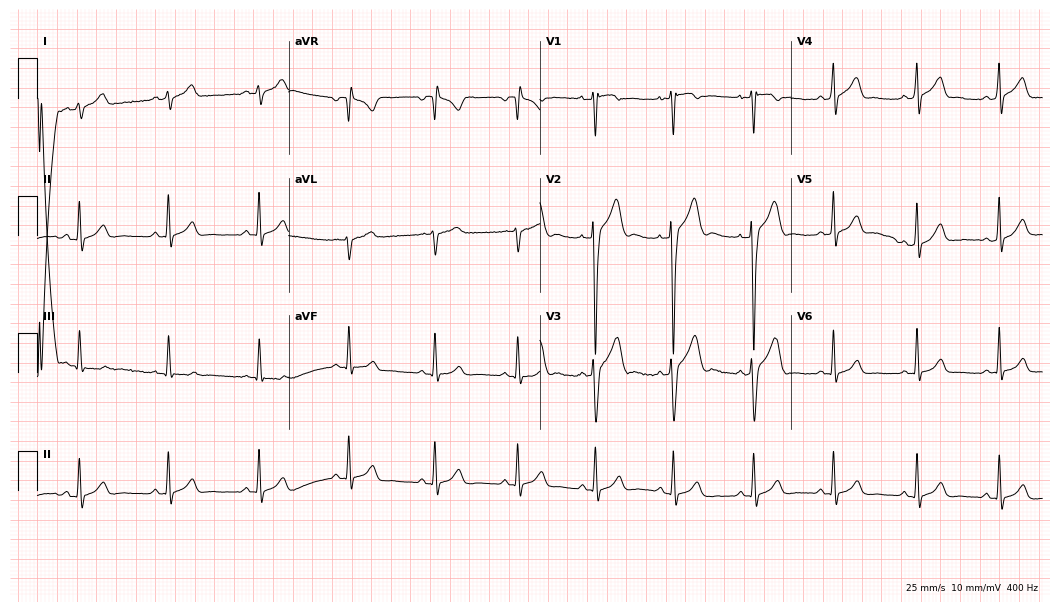
12-lead ECG from a male patient, 26 years old (10.2-second recording at 400 Hz). Recorded interpretation: within normal limits.